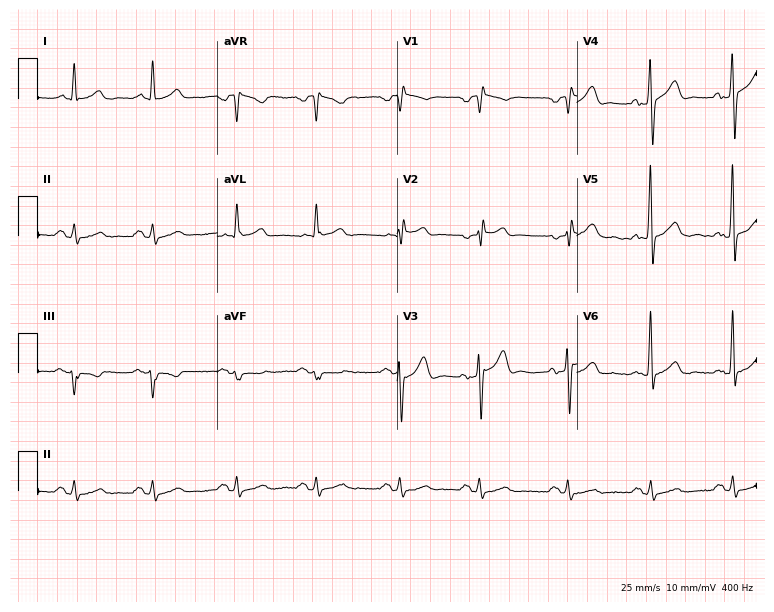
12-lead ECG from a male patient, 66 years old. Screened for six findings — first-degree AV block, right bundle branch block, left bundle branch block, sinus bradycardia, atrial fibrillation, sinus tachycardia — none is recorded. Only these six findings were labelled.